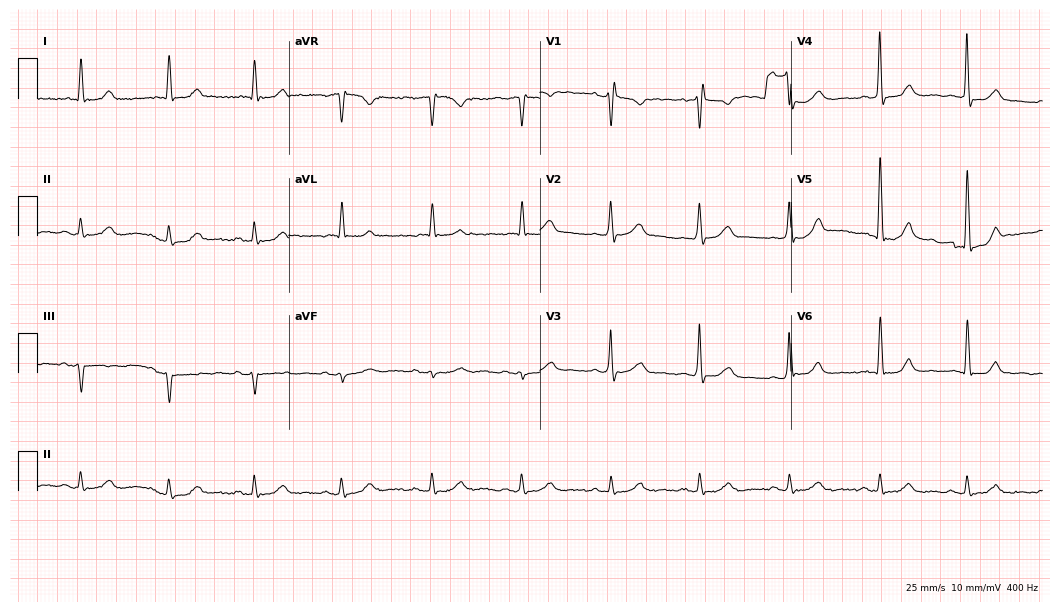
Standard 12-lead ECG recorded from a male, 78 years old (10.2-second recording at 400 Hz). None of these six findings is recorded: first-degree AV block, right bundle branch block (RBBB), left bundle branch block (LBBB), sinus bradycardia, atrial fibrillation (AF), sinus tachycardia.